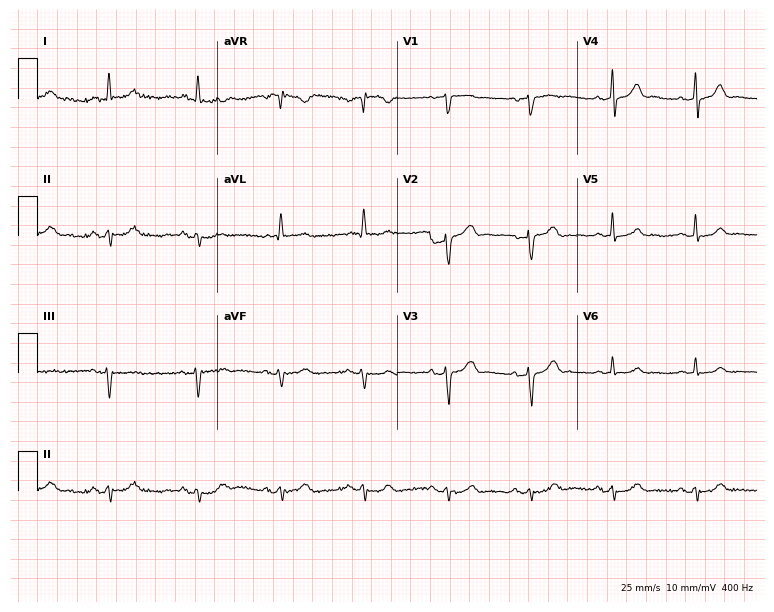
ECG (7.3-second recording at 400 Hz) — a male patient, 80 years old. Screened for six findings — first-degree AV block, right bundle branch block, left bundle branch block, sinus bradycardia, atrial fibrillation, sinus tachycardia — none is recorded.